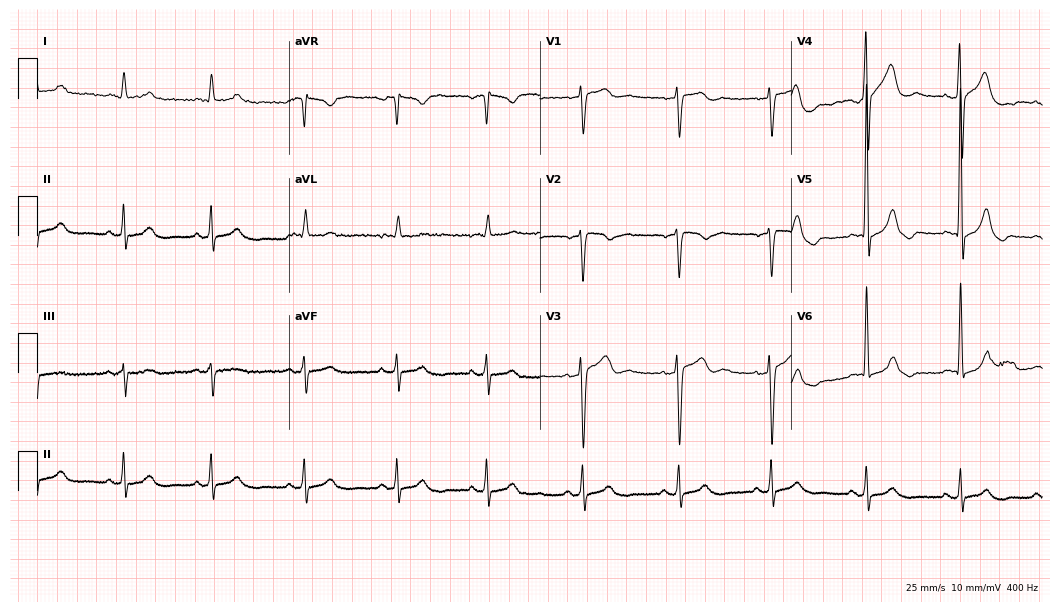
Resting 12-lead electrocardiogram (10.2-second recording at 400 Hz). Patient: a 55-year-old male. None of these six findings is recorded: first-degree AV block, right bundle branch block (RBBB), left bundle branch block (LBBB), sinus bradycardia, atrial fibrillation (AF), sinus tachycardia. Findings outside these six are not listed.